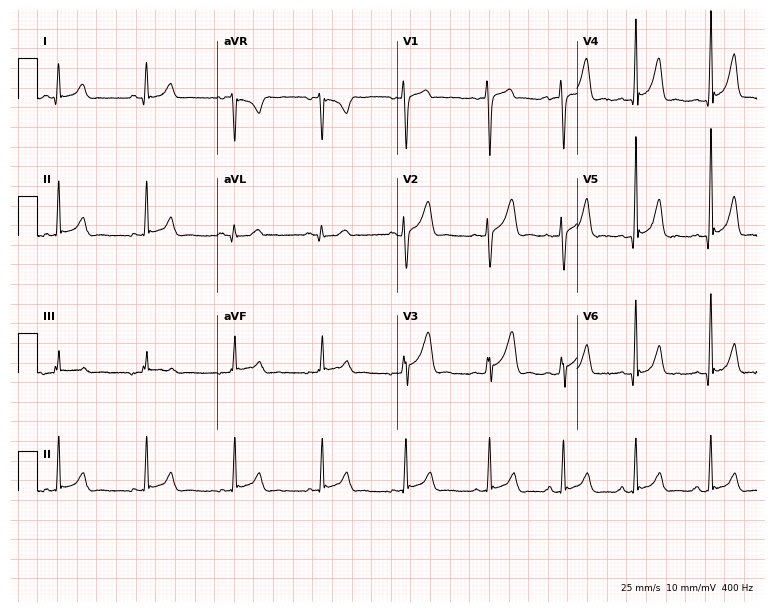
Standard 12-lead ECG recorded from an 18-year-old male. None of these six findings is recorded: first-degree AV block, right bundle branch block, left bundle branch block, sinus bradycardia, atrial fibrillation, sinus tachycardia.